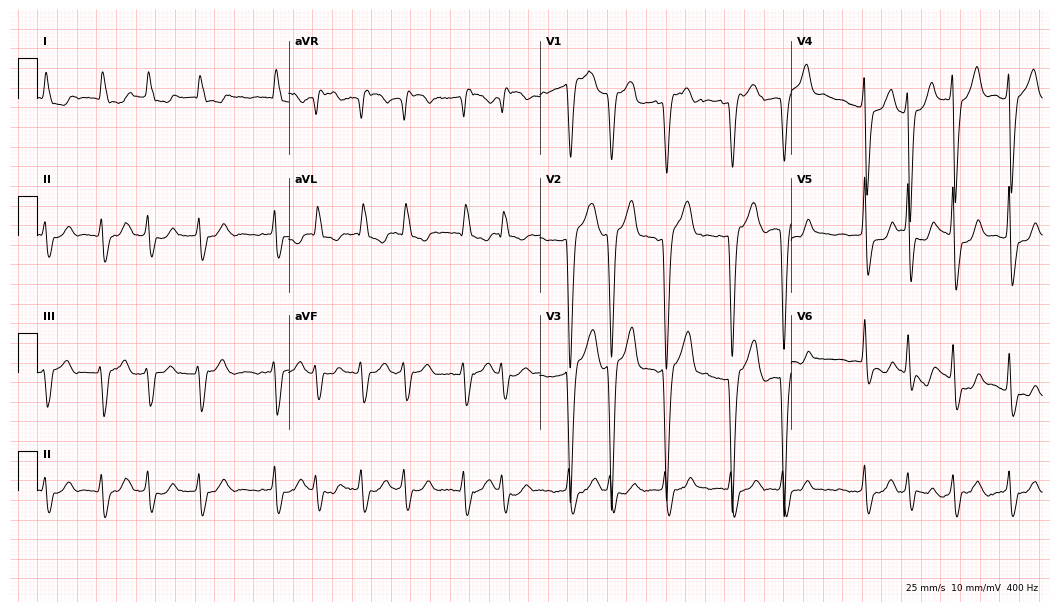
12-lead ECG (10.2-second recording at 400 Hz) from a male, 81 years old. Findings include atrial fibrillation.